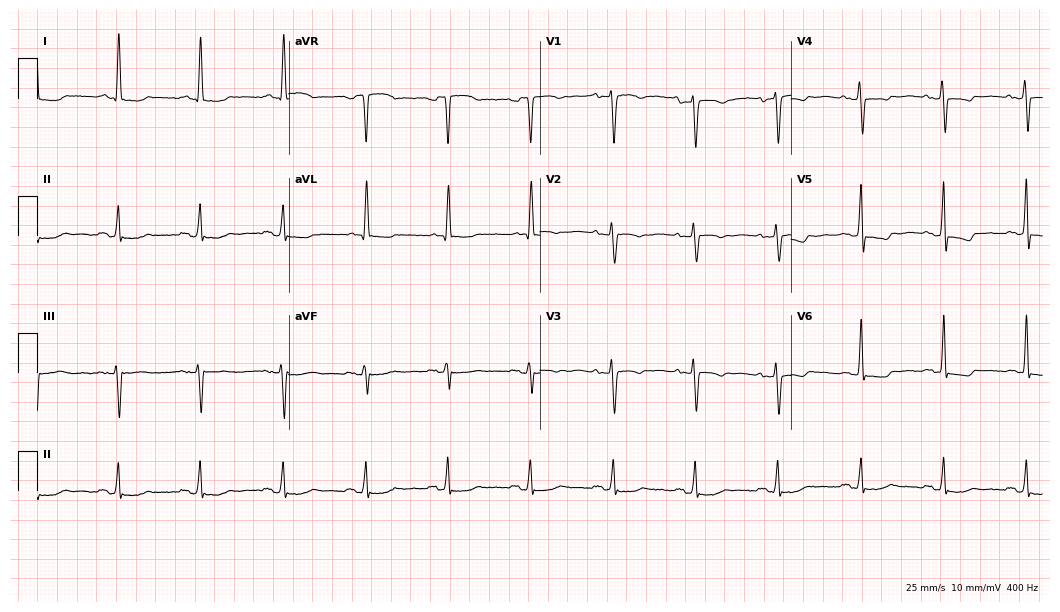
ECG (10.2-second recording at 400 Hz) — a woman, 68 years old. Screened for six findings — first-degree AV block, right bundle branch block, left bundle branch block, sinus bradycardia, atrial fibrillation, sinus tachycardia — none is recorded.